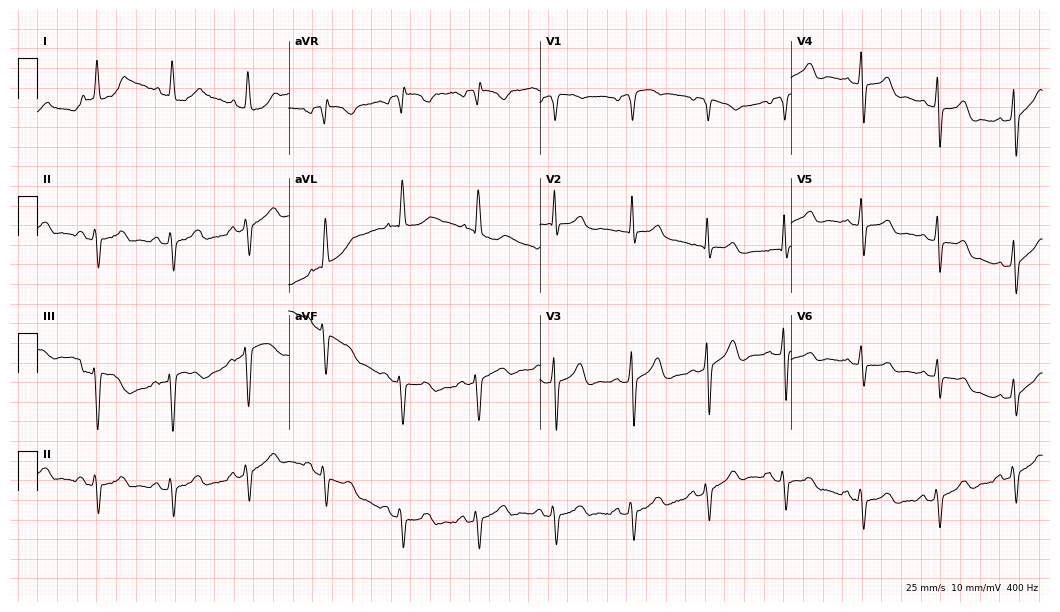
Electrocardiogram, a female patient, 79 years old. Of the six screened findings (first-degree AV block, right bundle branch block, left bundle branch block, sinus bradycardia, atrial fibrillation, sinus tachycardia), none is recorded.